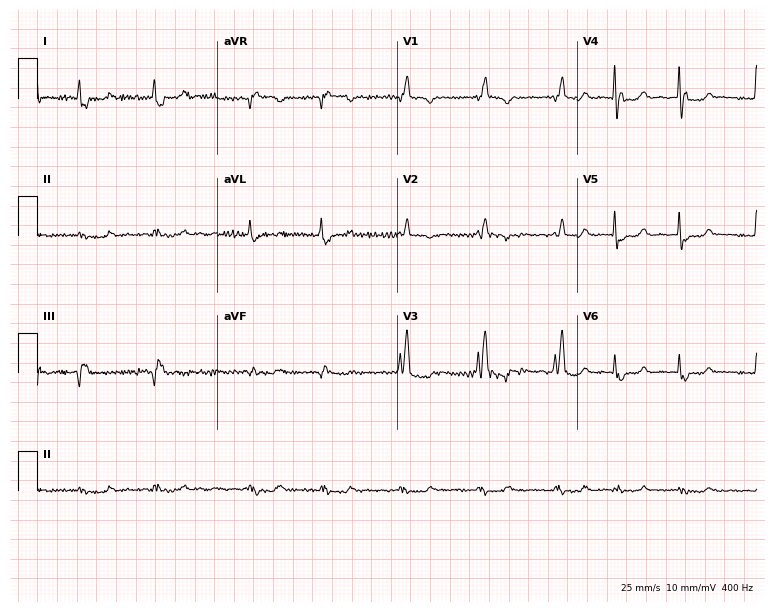
Resting 12-lead electrocardiogram. Patient: a woman, 70 years old. The tracing shows right bundle branch block, atrial fibrillation.